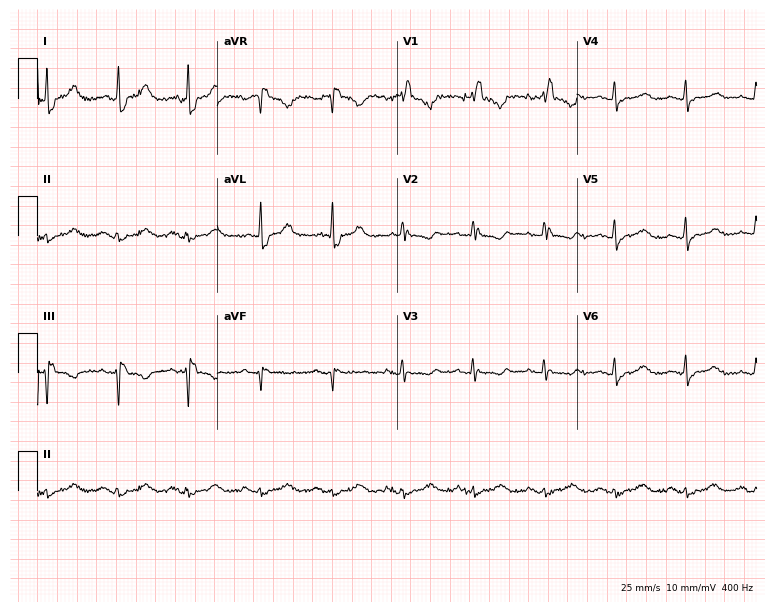
12-lead ECG from an 85-year-old female. Shows right bundle branch block.